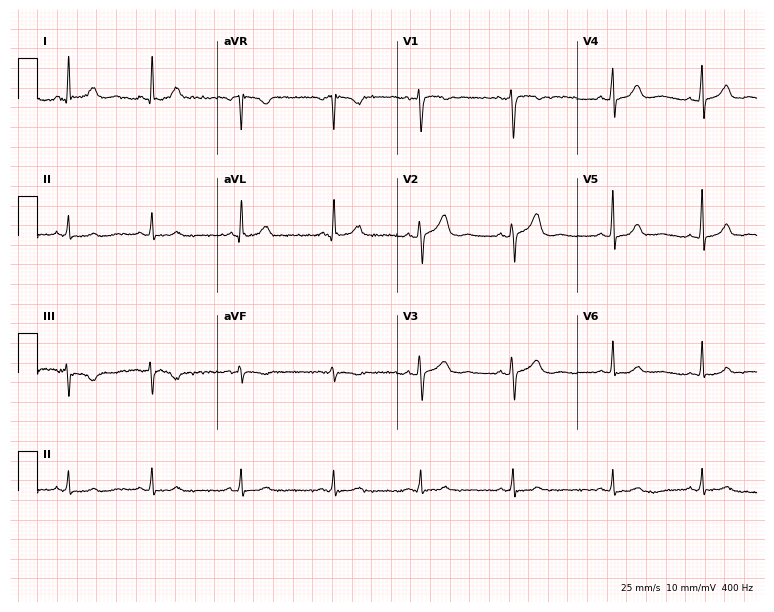
12-lead ECG (7.3-second recording at 400 Hz) from a 46-year-old female patient. Screened for six findings — first-degree AV block, right bundle branch block, left bundle branch block, sinus bradycardia, atrial fibrillation, sinus tachycardia — none is recorded. Only these six findings were labelled.